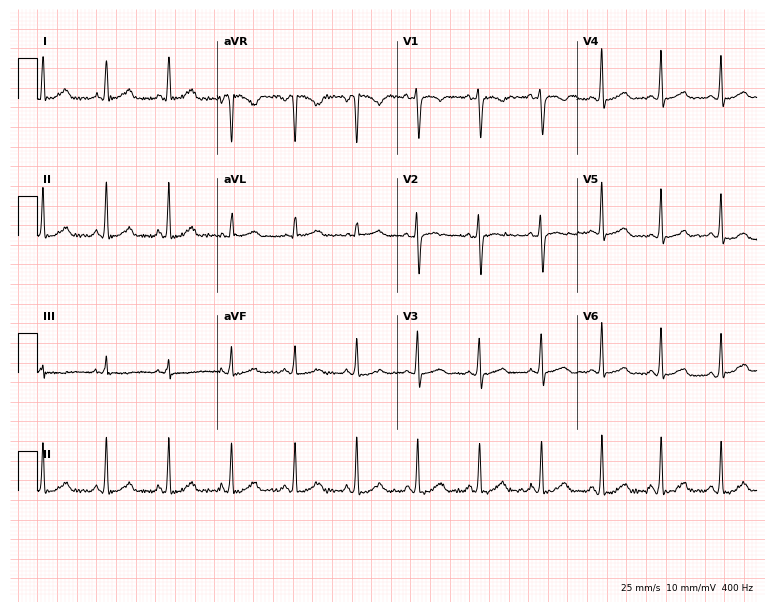
ECG — a female patient, 35 years old. Labelled as a normal ECG.